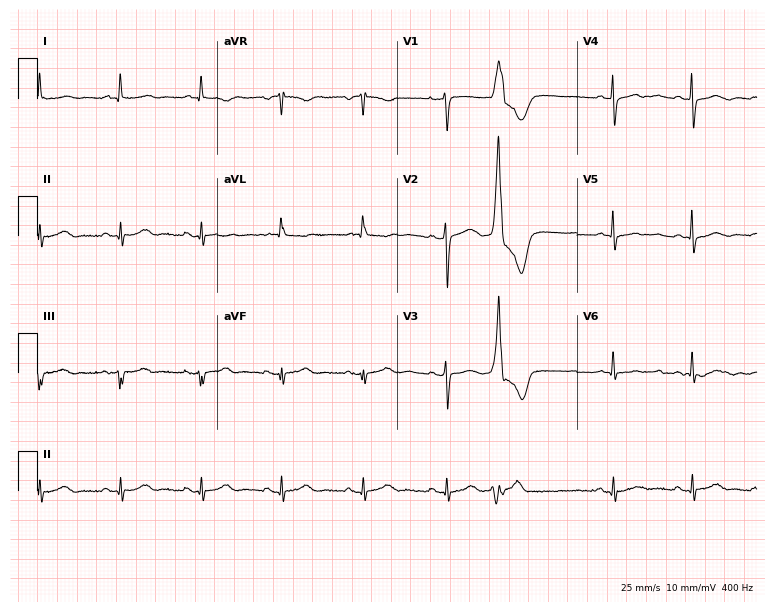
12-lead ECG from a 71-year-old female (7.3-second recording at 400 Hz). Recorded interpretation: within normal limits.